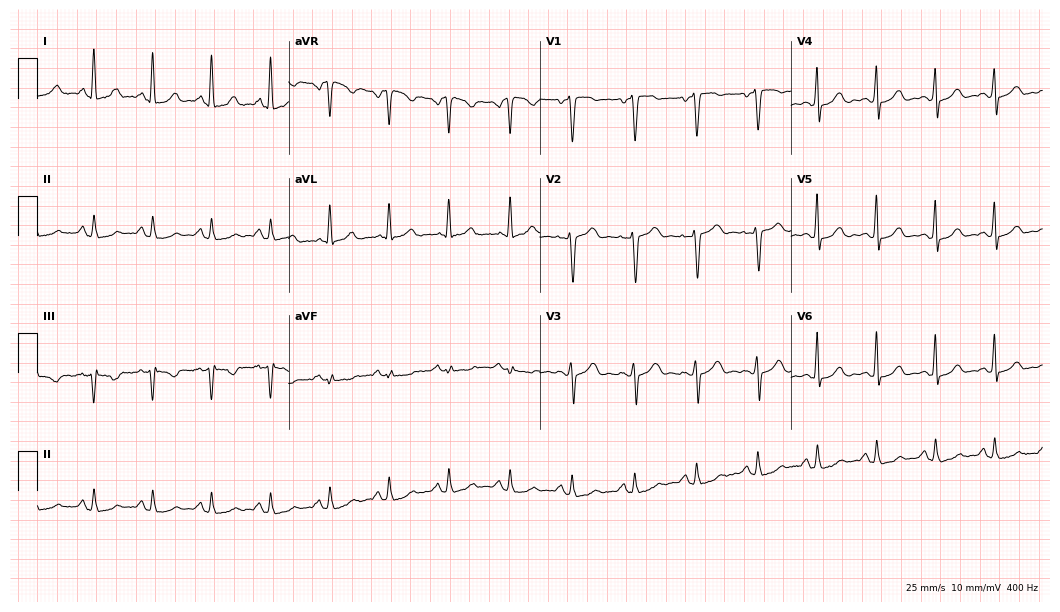
Resting 12-lead electrocardiogram (10.2-second recording at 400 Hz). Patient: a 47-year-old woman. None of these six findings is recorded: first-degree AV block, right bundle branch block, left bundle branch block, sinus bradycardia, atrial fibrillation, sinus tachycardia.